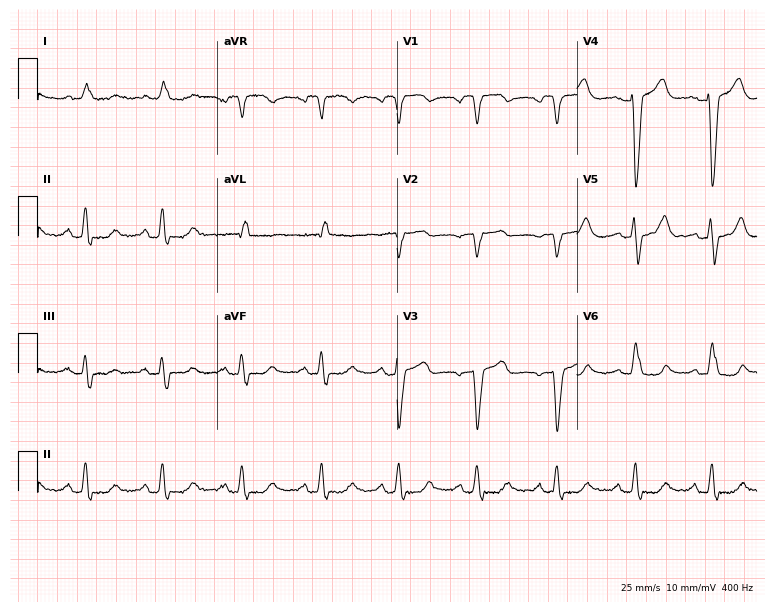
ECG (7.3-second recording at 400 Hz) — an 82-year-old female patient. Findings include left bundle branch block (LBBB).